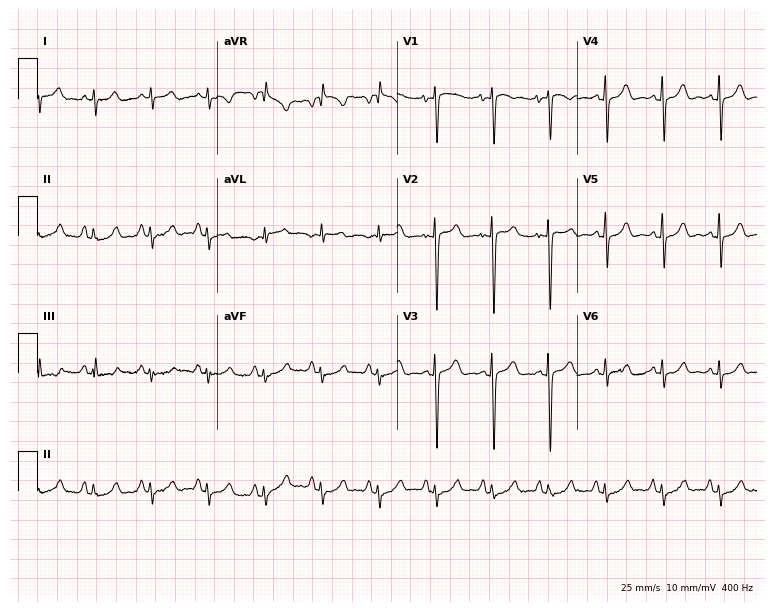
12-lead ECG from a female patient, 78 years old. Findings include sinus tachycardia (a sinus rate of 100 beats per minute or more).